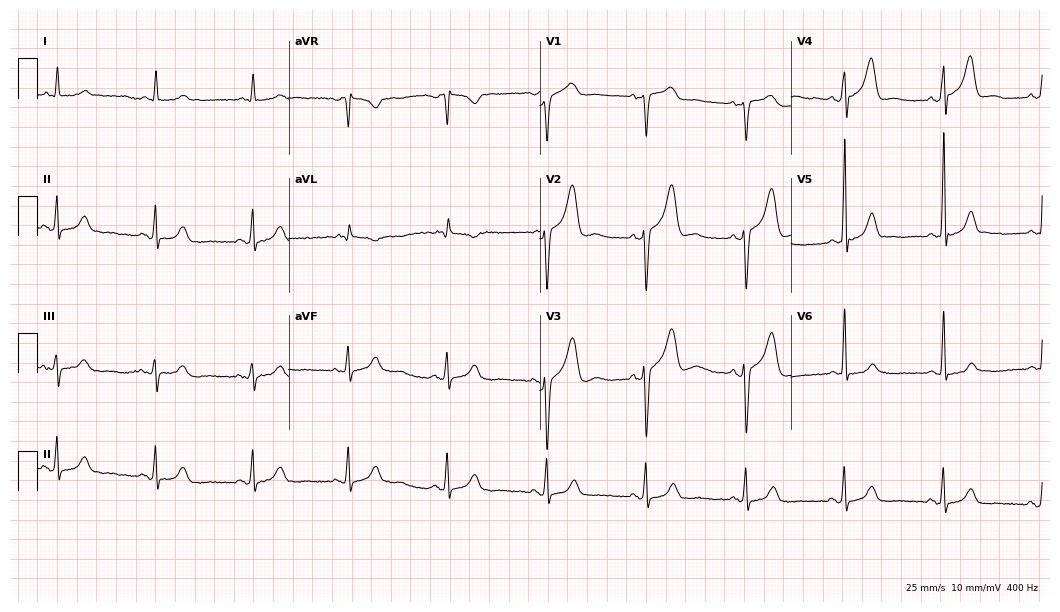
Standard 12-lead ECG recorded from a male patient, 77 years old. None of these six findings is recorded: first-degree AV block, right bundle branch block, left bundle branch block, sinus bradycardia, atrial fibrillation, sinus tachycardia.